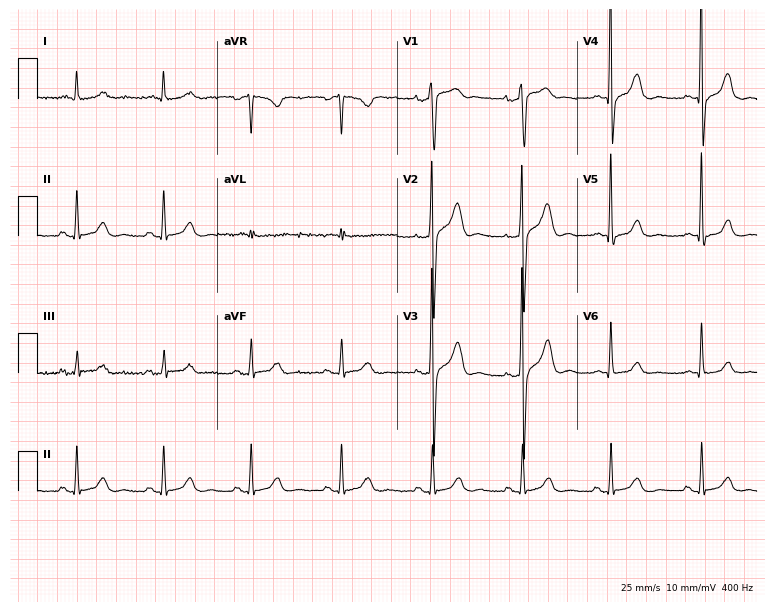
Resting 12-lead electrocardiogram. Patient: a 59-year-old male. Read as a normal ECG.